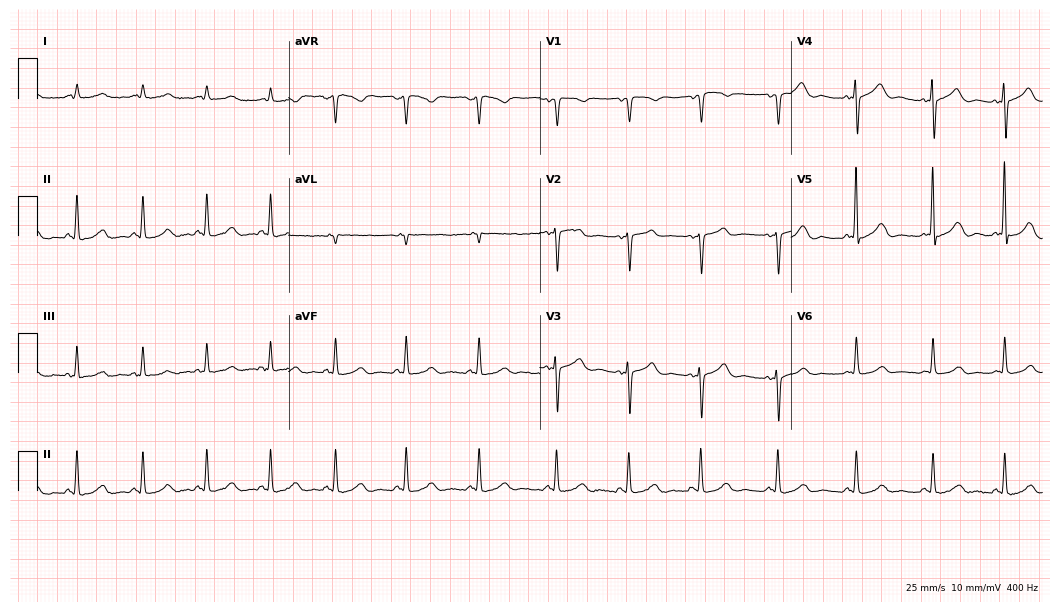
Standard 12-lead ECG recorded from a 64-year-old female. None of these six findings is recorded: first-degree AV block, right bundle branch block (RBBB), left bundle branch block (LBBB), sinus bradycardia, atrial fibrillation (AF), sinus tachycardia. Only these six findings were labelled.